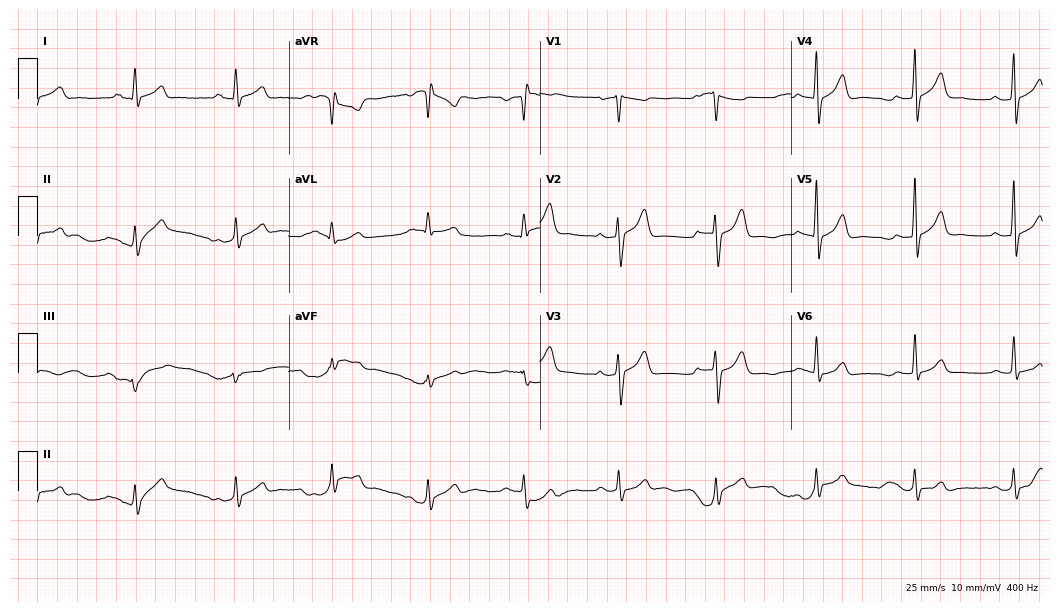
ECG — a 47-year-old male. Screened for six findings — first-degree AV block, right bundle branch block, left bundle branch block, sinus bradycardia, atrial fibrillation, sinus tachycardia — none is recorded. Findings outside these six are not listed.